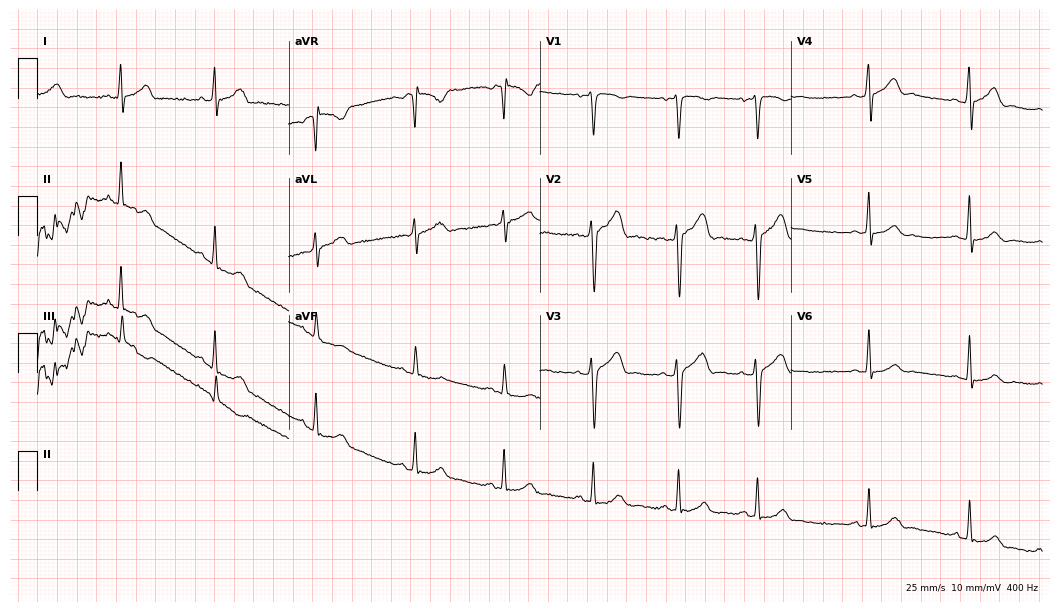
Standard 12-lead ECG recorded from a 35-year-old male patient. None of these six findings is recorded: first-degree AV block, right bundle branch block, left bundle branch block, sinus bradycardia, atrial fibrillation, sinus tachycardia.